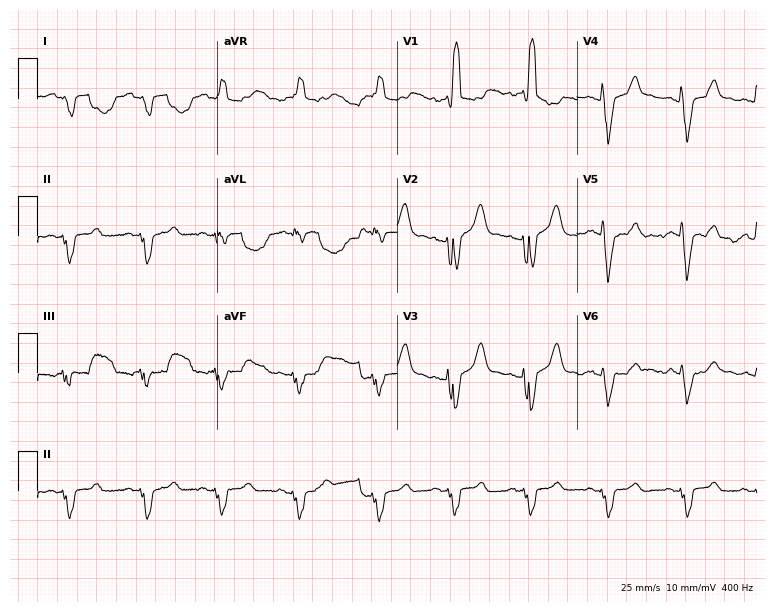
Resting 12-lead electrocardiogram (7.3-second recording at 400 Hz). Patient: a 39-year-old man. None of these six findings is recorded: first-degree AV block, right bundle branch block (RBBB), left bundle branch block (LBBB), sinus bradycardia, atrial fibrillation (AF), sinus tachycardia. Only these six findings were labelled.